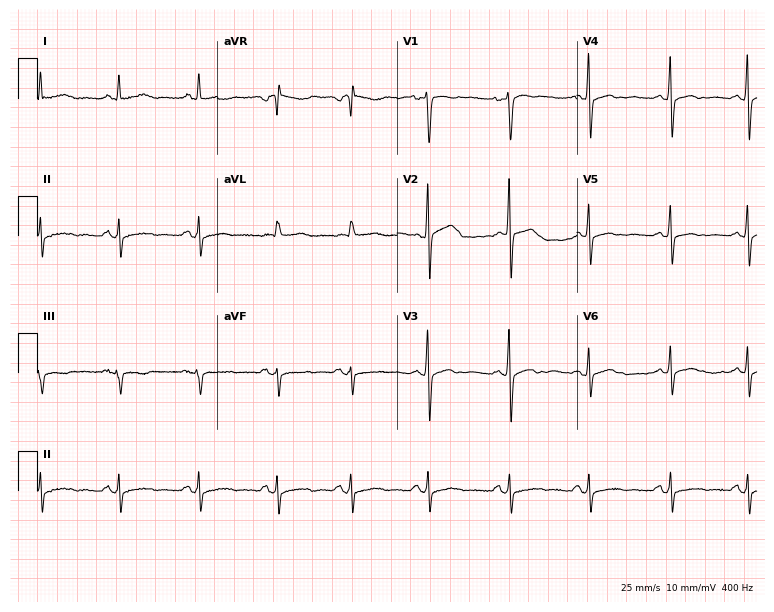
Electrocardiogram, a woman, 59 years old. Of the six screened findings (first-degree AV block, right bundle branch block (RBBB), left bundle branch block (LBBB), sinus bradycardia, atrial fibrillation (AF), sinus tachycardia), none is recorded. Other findings, if any, are not listed.